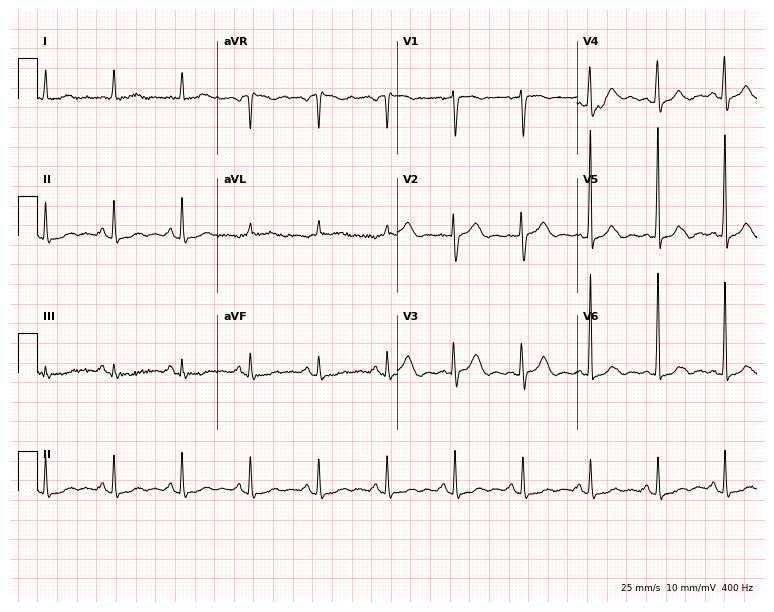
Resting 12-lead electrocardiogram. Patient: an 81-year-old female. None of these six findings is recorded: first-degree AV block, right bundle branch block, left bundle branch block, sinus bradycardia, atrial fibrillation, sinus tachycardia. Findings outside these six are not listed.